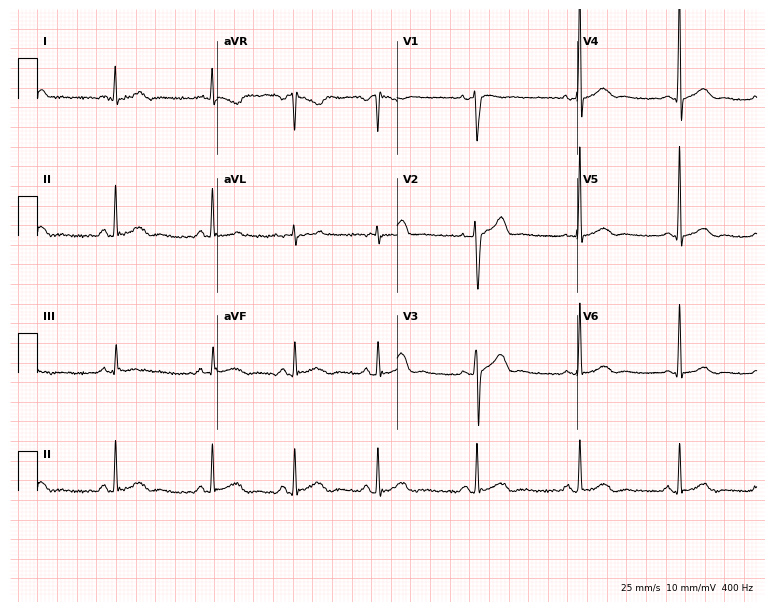
12-lead ECG from a male, 20 years old. Recorded interpretation: within normal limits.